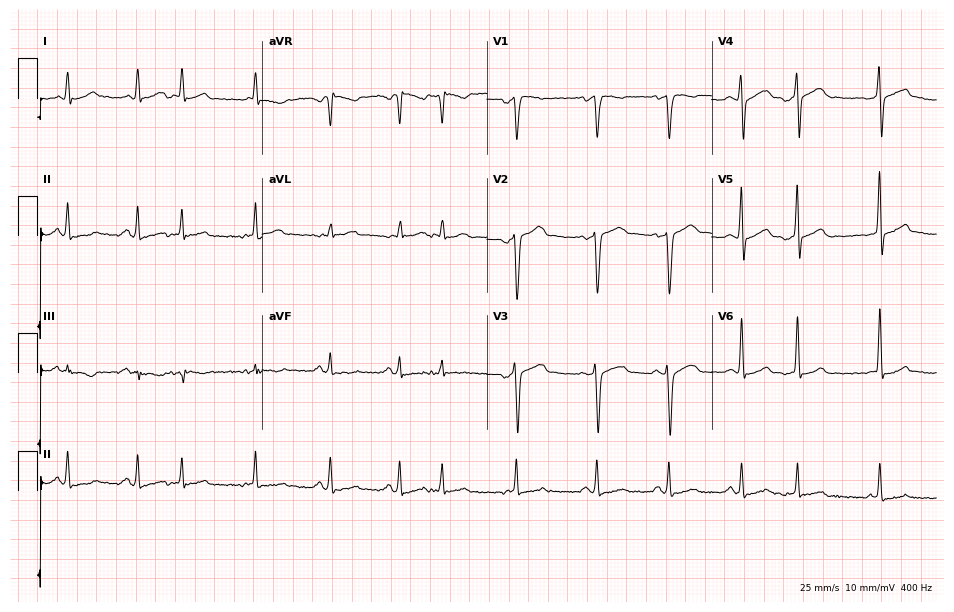
Resting 12-lead electrocardiogram. Patient: a 41-year-old male. None of these six findings is recorded: first-degree AV block, right bundle branch block (RBBB), left bundle branch block (LBBB), sinus bradycardia, atrial fibrillation (AF), sinus tachycardia.